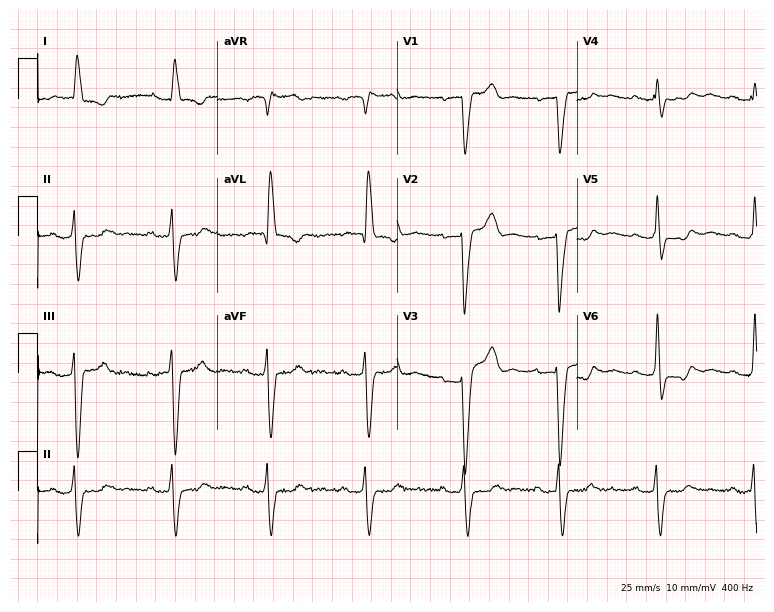
Standard 12-lead ECG recorded from an 82-year-old female. The tracing shows first-degree AV block, left bundle branch block (LBBB).